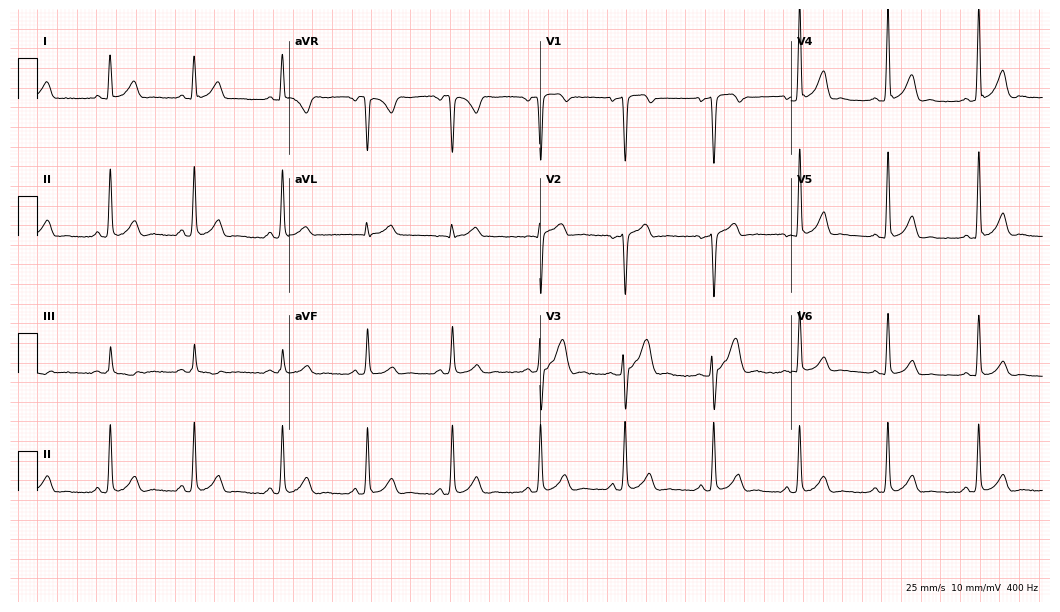
Resting 12-lead electrocardiogram. Patient: a male, 23 years old. Read as a normal ECG.